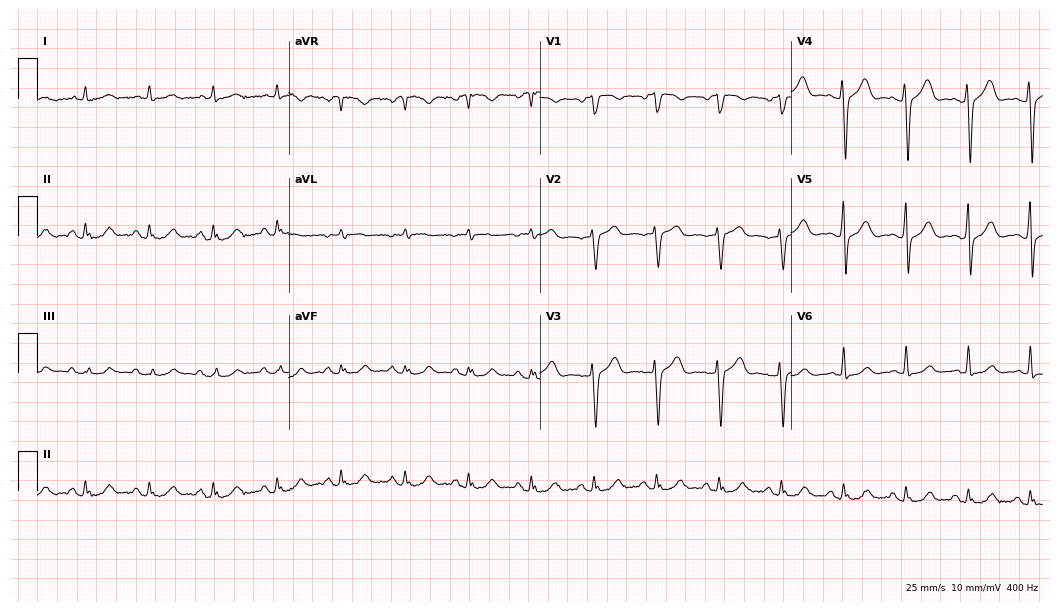
Standard 12-lead ECG recorded from a man, 34 years old (10.2-second recording at 400 Hz). None of these six findings is recorded: first-degree AV block, right bundle branch block (RBBB), left bundle branch block (LBBB), sinus bradycardia, atrial fibrillation (AF), sinus tachycardia.